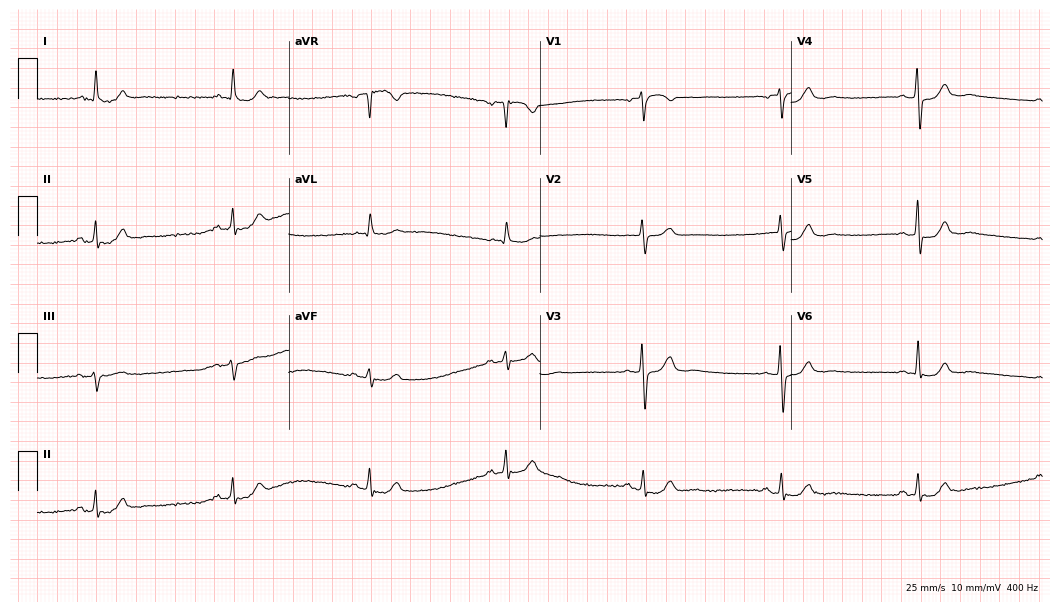
12-lead ECG from a woman, 75 years old (10.2-second recording at 400 Hz). Shows sinus bradycardia (a sinus rate of 50 beats per minute or less).